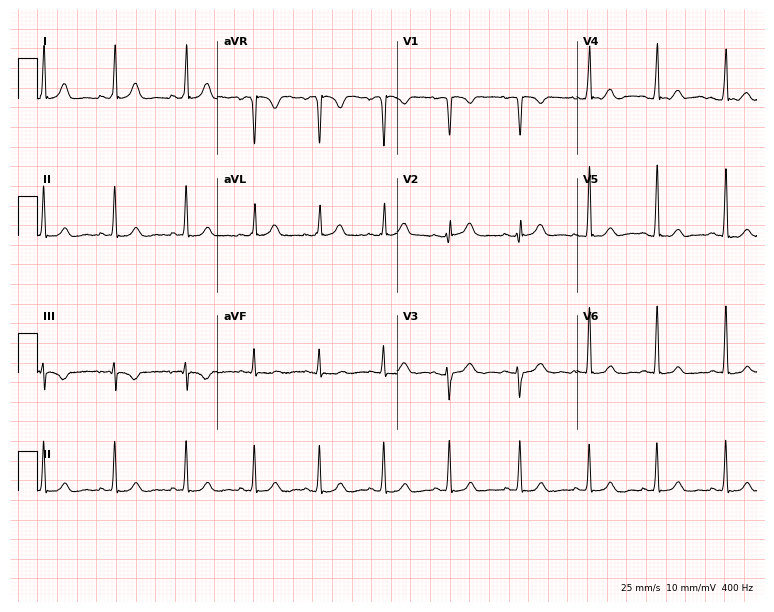
Standard 12-lead ECG recorded from a woman, 35 years old. None of these six findings is recorded: first-degree AV block, right bundle branch block, left bundle branch block, sinus bradycardia, atrial fibrillation, sinus tachycardia. Other findings, if any, are not listed.